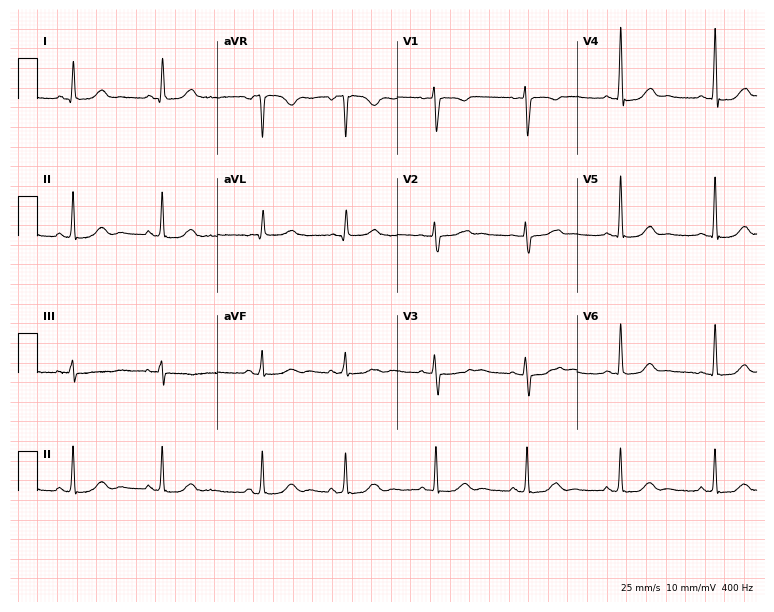
Electrocardiogram (7.3-second recording at 400 Hz), a 54-year-old female. Of the six screened findings (first-degree AV block, right bundle branch block, left bundle branch block, sinus bradycardia, atrial fibrillation, sinus tachycardia), none is recorded.